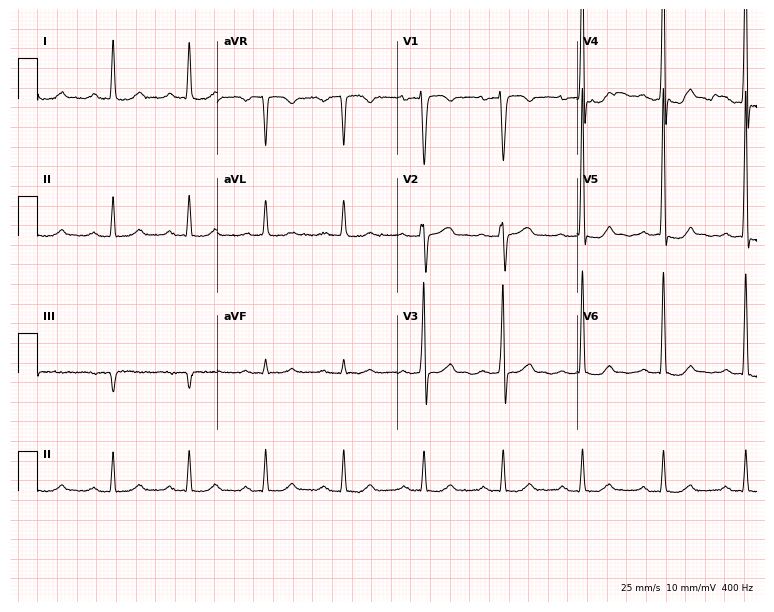
Electrocardiogram, a 79-year-old woman. Interpretation includes first-degree AV block.